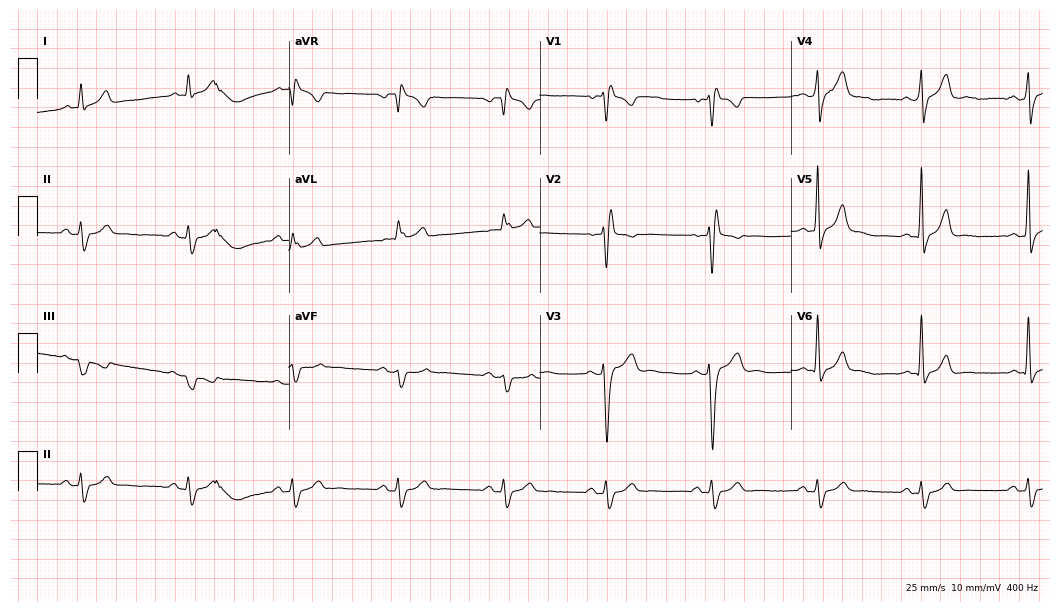
Electrocardiogram, a male patient, 39 years old. Interpretation includes right bundle branch block.